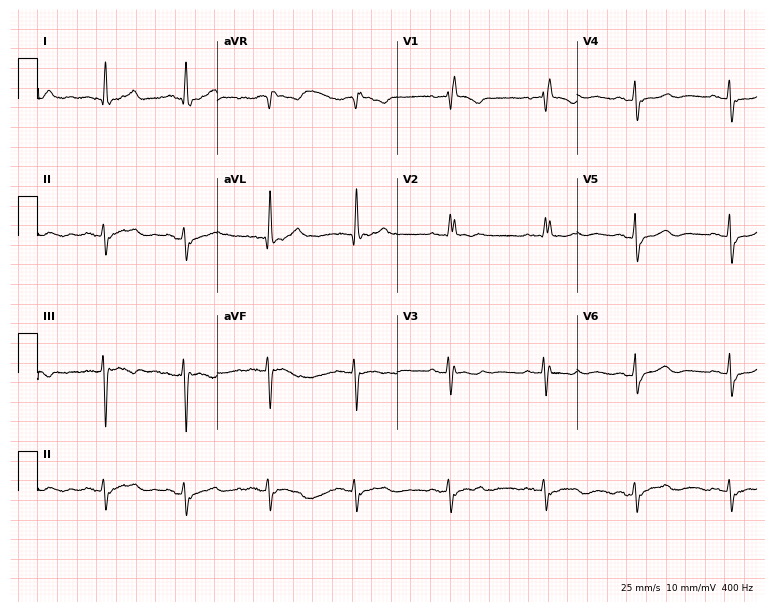
ECG (7.3-second recording at 400 Hz) — a female, 81 years old. Screened for six findings — first-degree AV block, right bundle branch block (RBBB), left bundle branch block (LBBB), sinus bradycardia, atrial fibrillation (AF), sinus tachycardia — none is recorded.